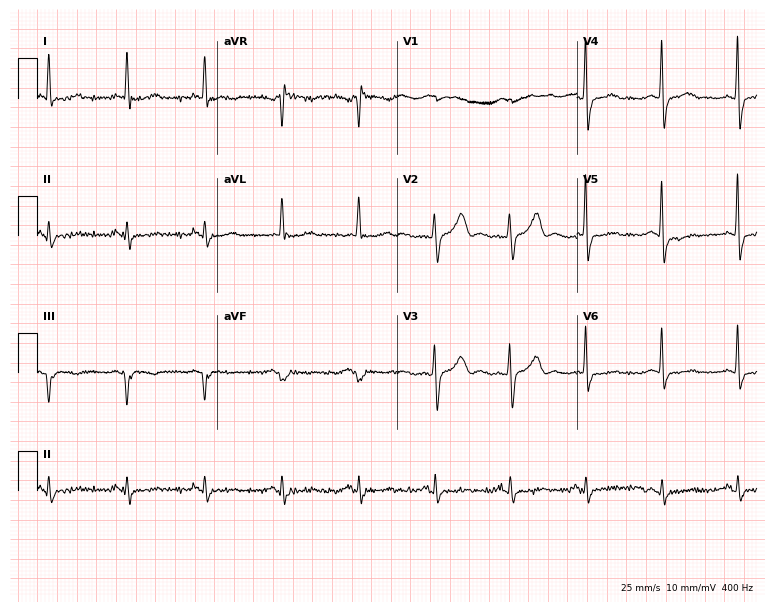
12-lead ECG (7.3-second recording at 400 Hz) from a male, 51 years old. Screened for six findings — first-degree AV block, right bundle branch block, left bundle branch block, sinus bradycardia, atrial fibrillation, sinus tachycardia — none is recorded.